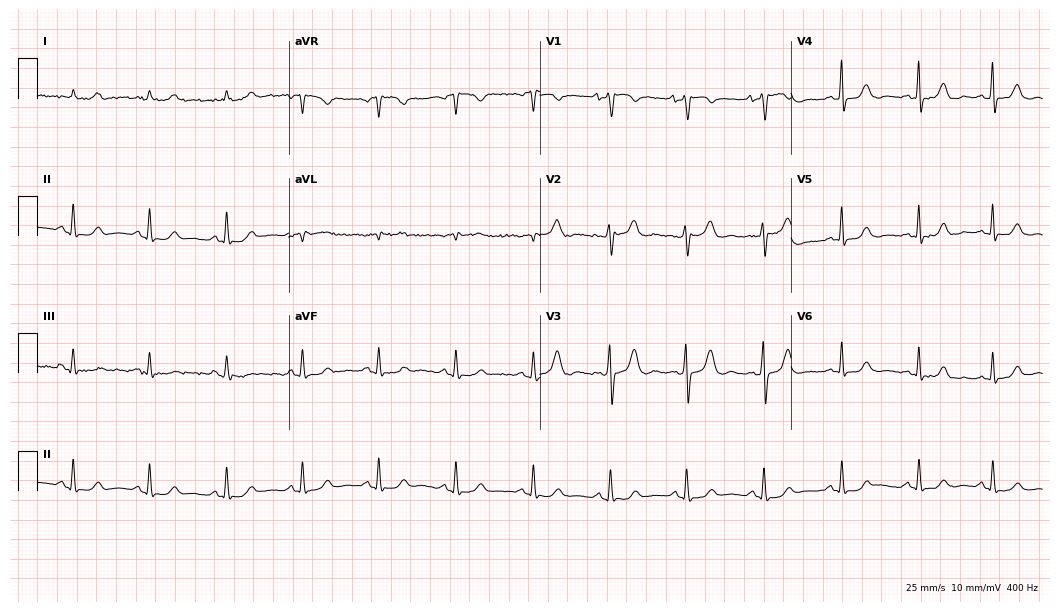
ECG — a 73-year-old male. Labelled as a normal ECG.